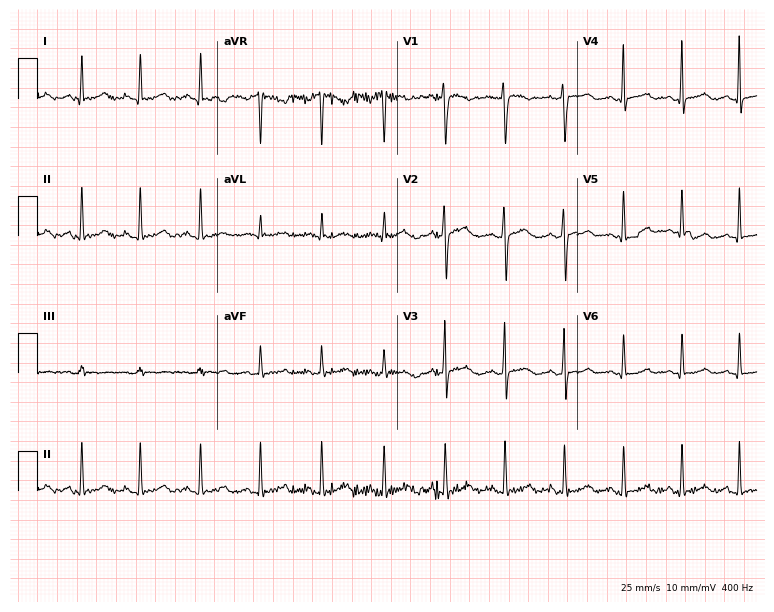
Electrocardiogram, a 32-year-old female. Of the six screened findings (first-degree AV block, right bundle branch block (RBBB), left bundle branch block (LBBB), sinus bradycardia, atrial fibrillation (AF), sinus tachycardia), none is recorded. Findings outside these six are not listed.